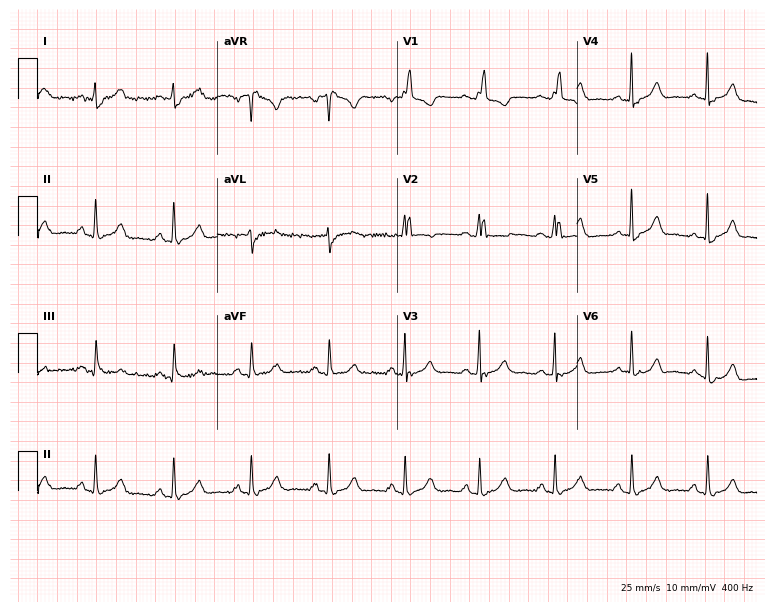
Electrocardiogram, a 45-year-old female. Of the six screened findings (first-degree AV block, right bundle branch block, left bundle branch block, sinus bradycardia, atrial fibrillation, sinus tachycardia), none is recorded. Only these six findings were labelled.